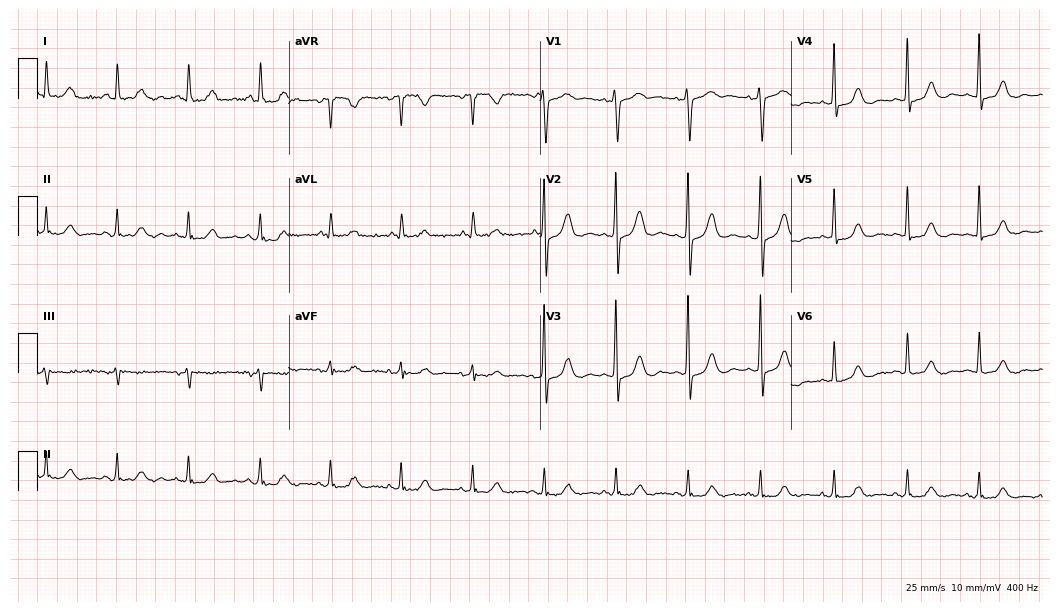
Standard 12-lead ECG recorded from a 58-year-old woman (10.2-second recording at 400 Hz). Read as a normal ECG.